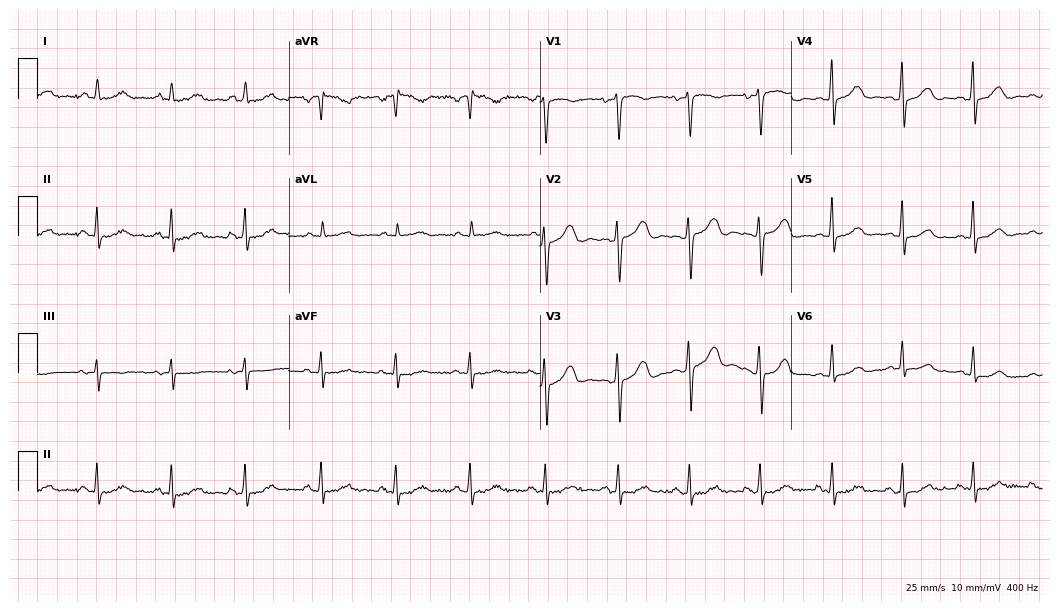
Resting 12-lead electrocardiogram (10.2-second recording at 400 Hz). Patient: a female, 44 years old. Read as a normal ECG.